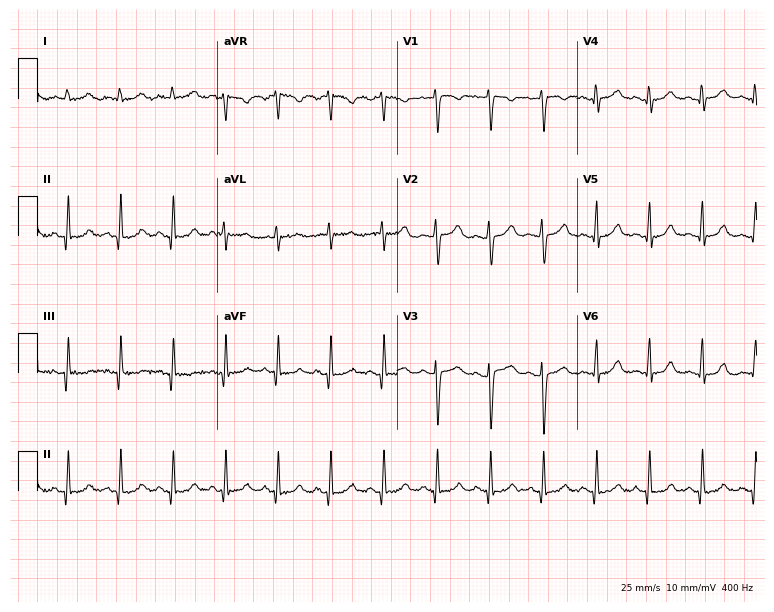
12-lead ECG (7.3-second recording at 400 Hz) from a 22-year-old female patient. Findings include sinus tachycardia (a sinus rate of 100 beats per minute or more).